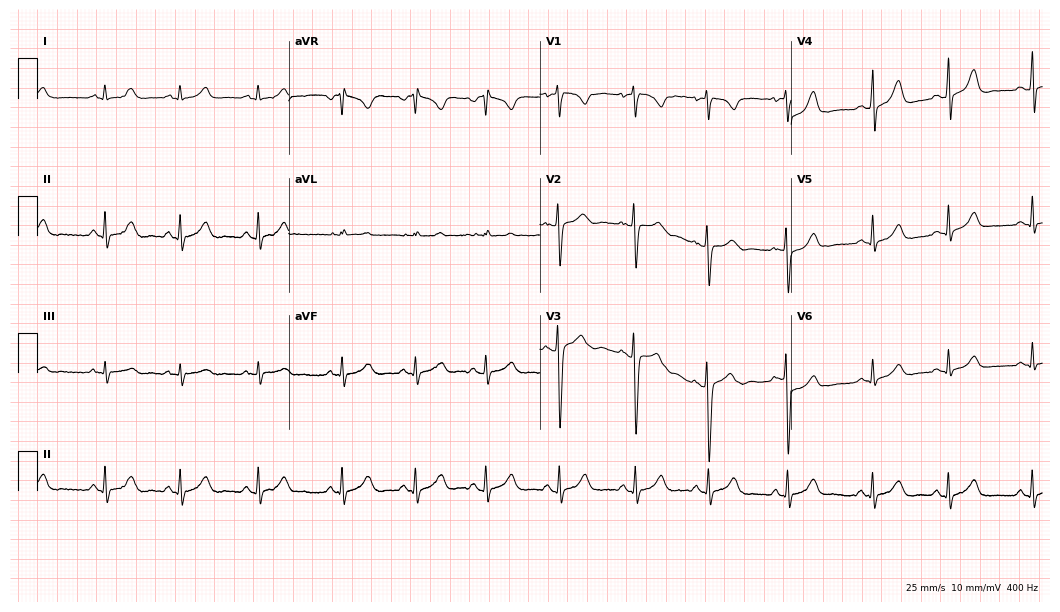
Standard 12-lead ECG recorded from a 19-year-old woman. Read as a normal ECG.